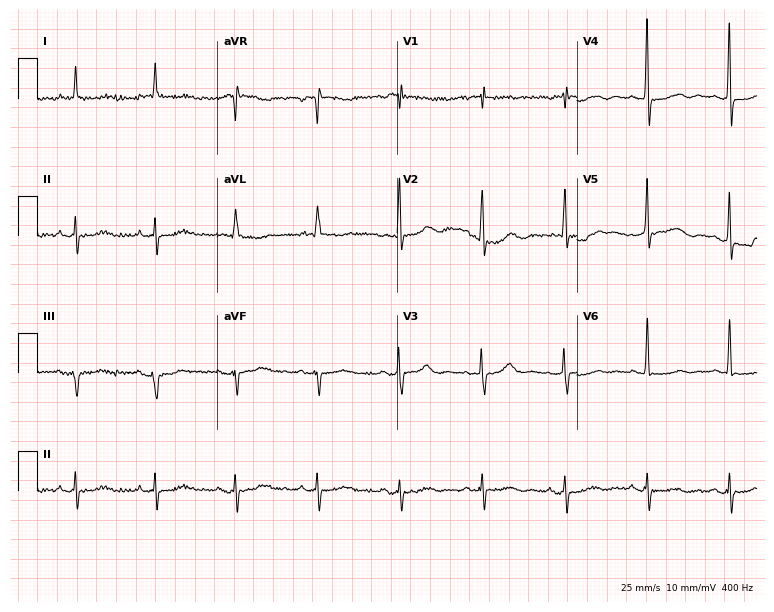
12-lead ECG from an 85-year-old woman. Labelled as a normal ECG.